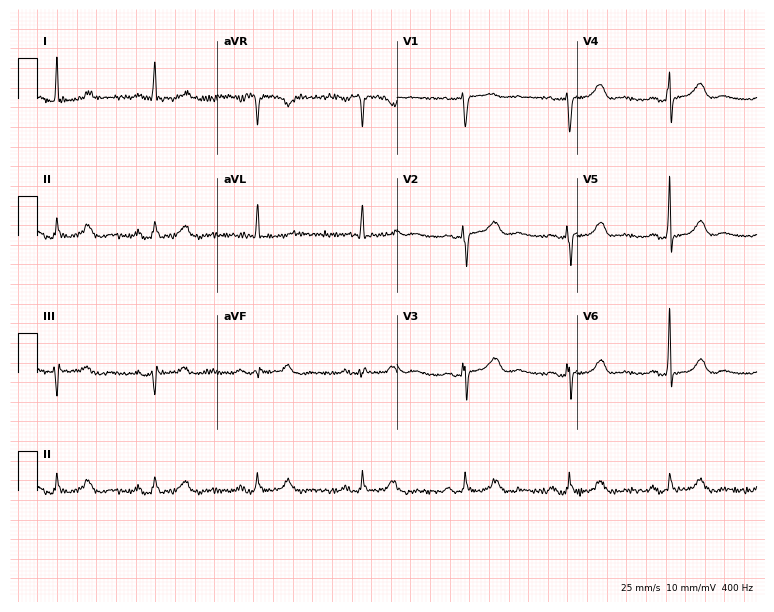
12-lead ECG from a 67-year-old female patient (7.3-second recording at 400 Hz). No first-degree AV block, right bundle branch block (RBBB), left bundle branch block (LBBB), sinus bradycardia, atrial fibrillation (AF) or sinus tachycardia recorded for this tracing. Other findings, if any, are not listed.